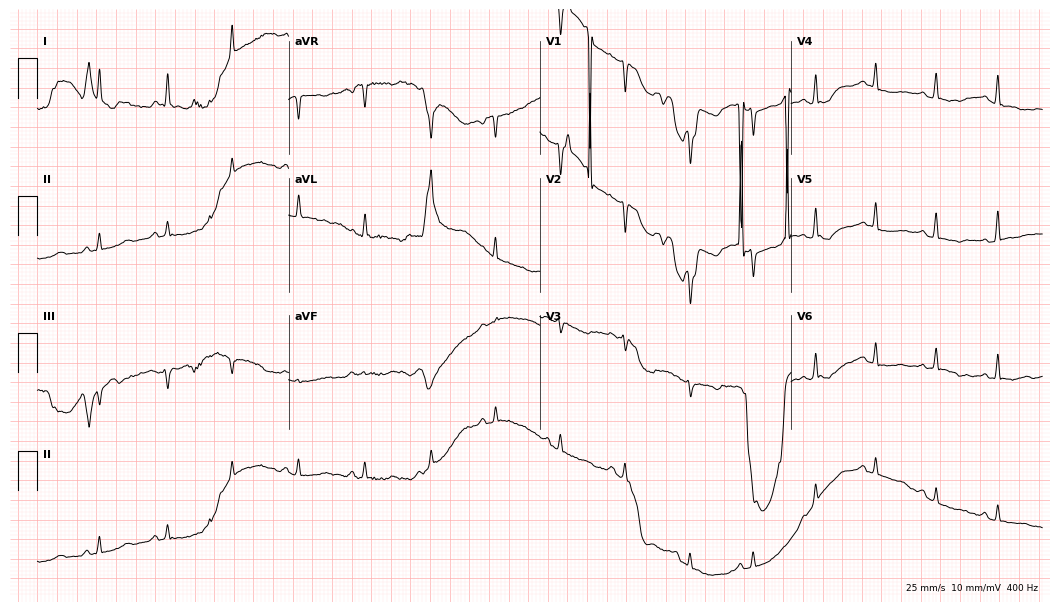
Resting 12-lead electrocardiogram. Patient: a female, 32 years old. None of these six findings is recorded: first-degree AV block, right bundle branch block, left bundle branch block, sinus bradycardia, atrial fibrillation, sinus tachycardia. Findings outside these six are not listed.